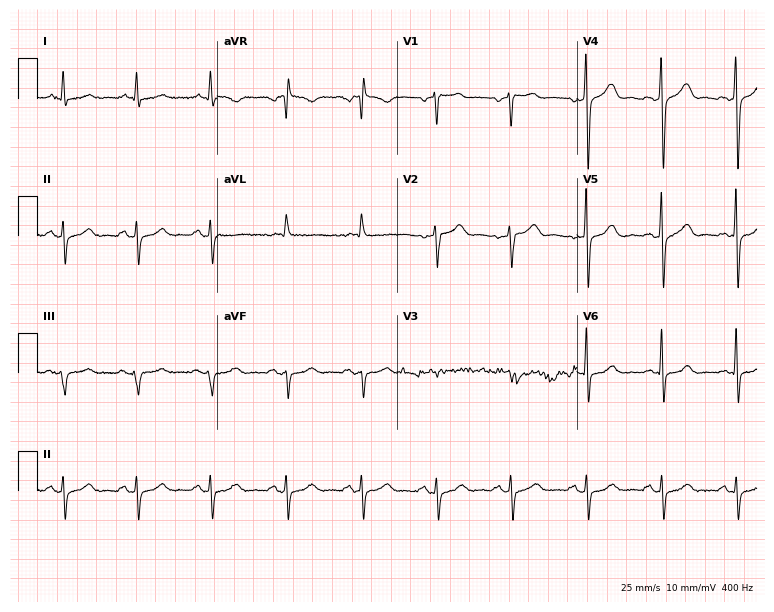
Electrocardiogram (7.3-second recording at 400 Hz), a 55-year-old male patient. Of the six screened findings (first-degree AV block, right bundle branch block, left bundle branch block, sinus bradycardia, atrial fibrillation, sinus tachycardia), none is recorded.